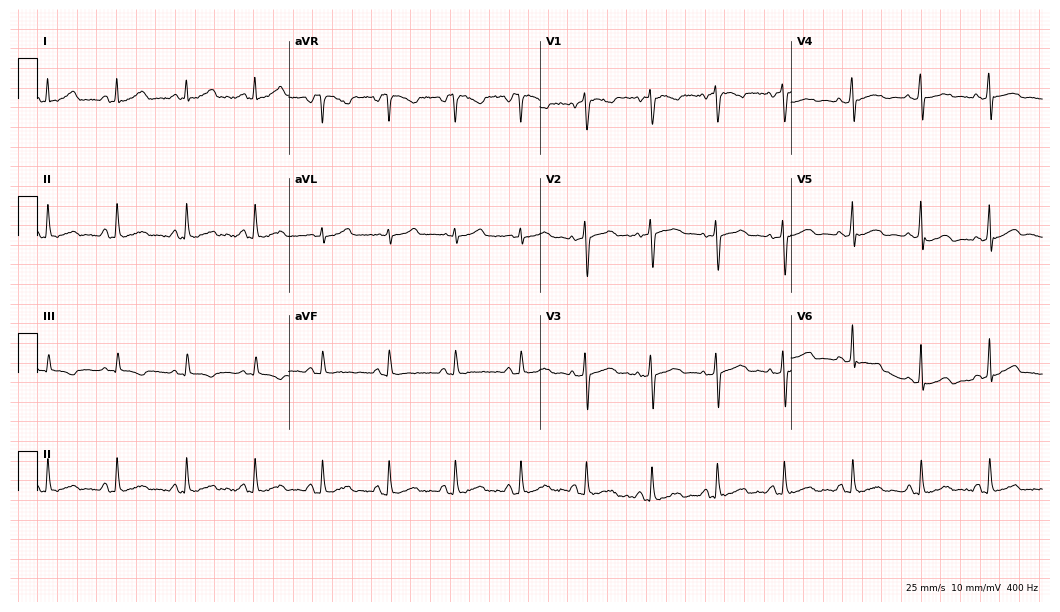
Electrocardiogram, a female patient, 40 years old. Overall reading on record: normal ECG.